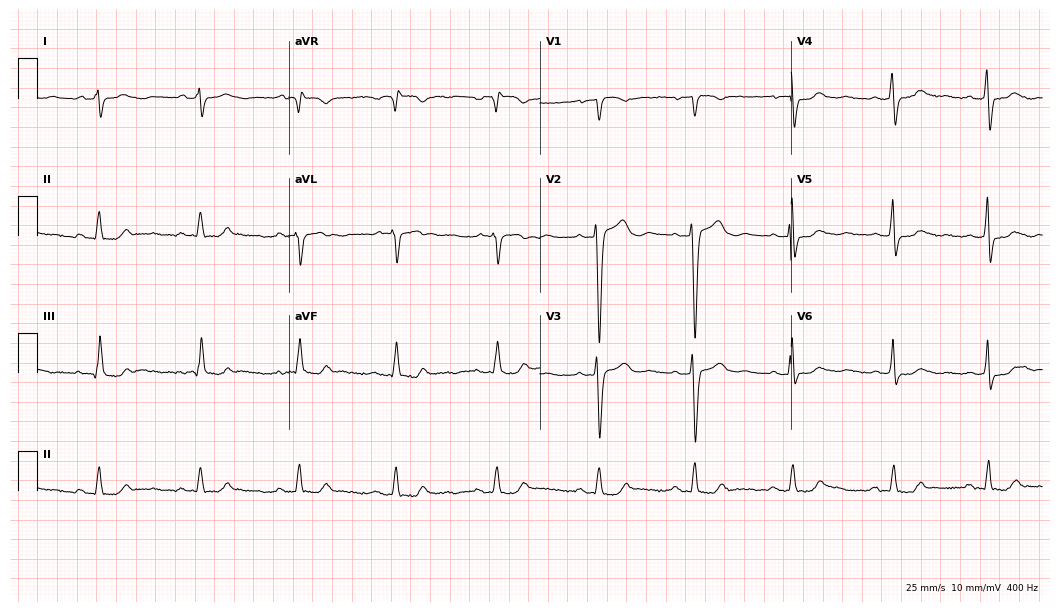
Electrocardiogram, a female, 52 years old. Of the six screened findings (first-degree AV block, right bundle branch block (RBBB), left bundle branch block (LBBB), sinus bradycardia, atrial fibrillation (AF), sinus tachycardia), none is recorded. Findings outside these six are not listed.